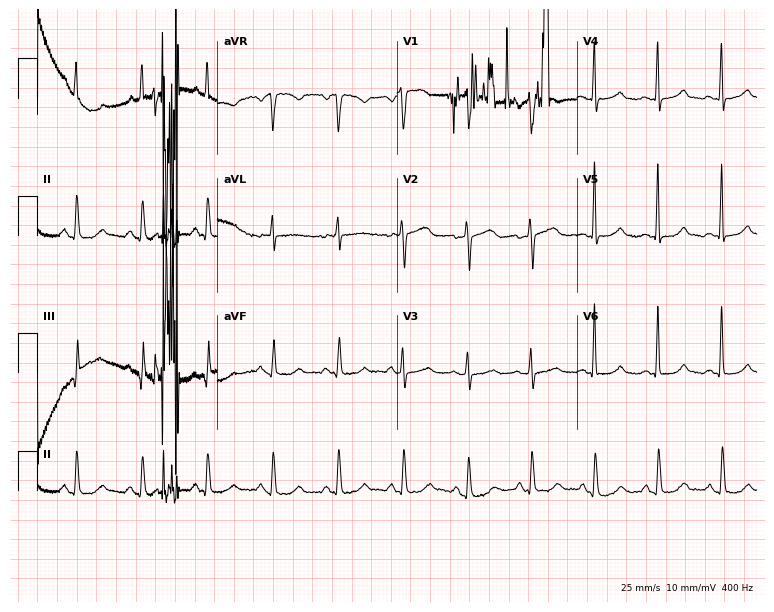
Electrocardiogram (7.3-second recording at 400 Hz), a 76-year-old female patient. Overall reading on record: normal ECG.